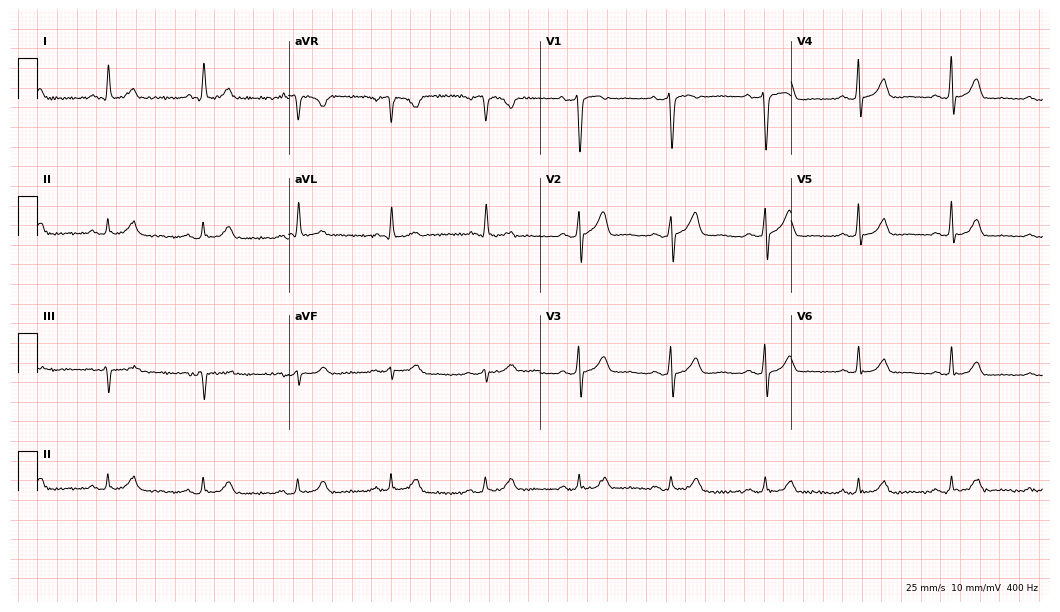
Resting 12-lead electrocardiogram. Patient: a 77-year-old woman. Read as a normal ECG.